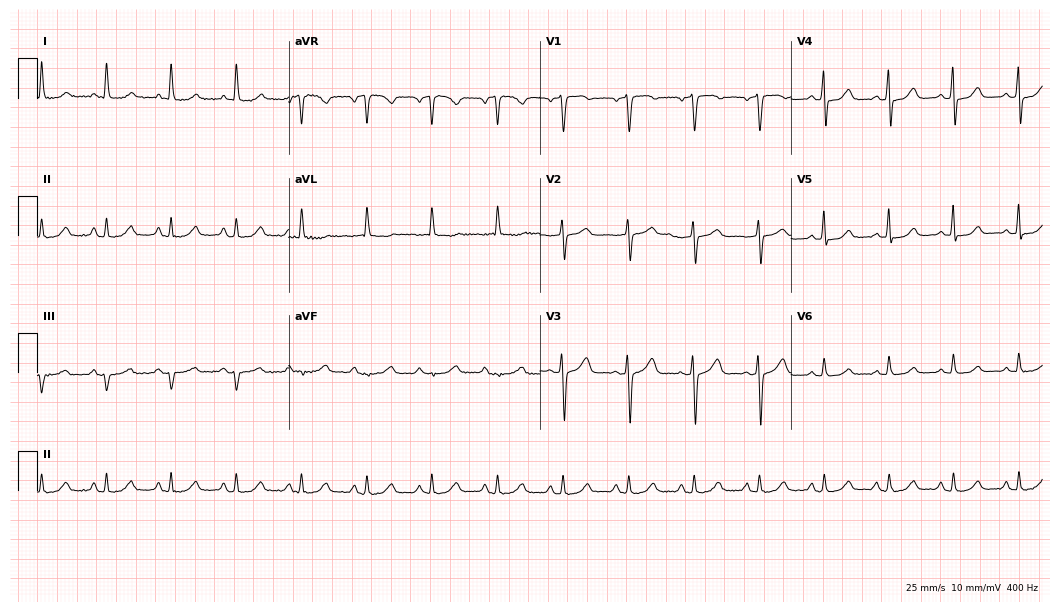
ECG — a female patient, 54 years old. Labelled as a normal ECG.